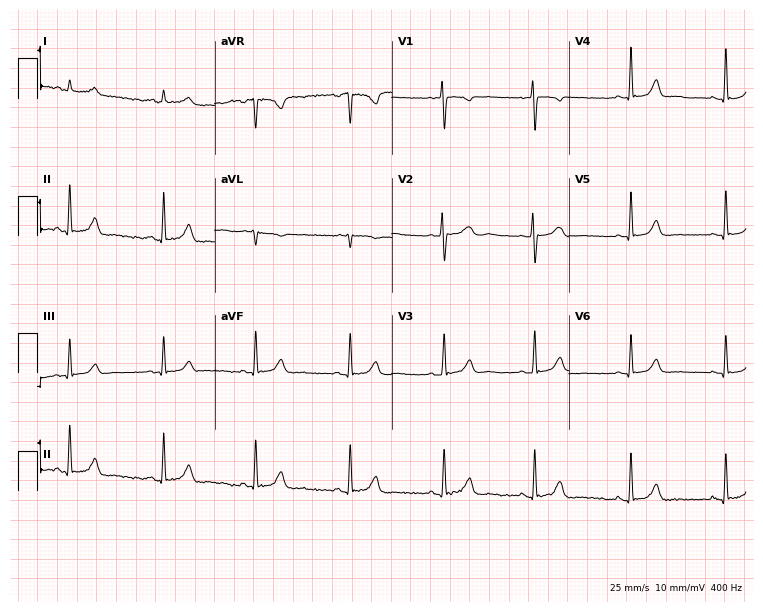
12-lead ECG (7.2-second recording at 400 Hz) from a female patient, 30 years old. Labelled as a normal ECG.